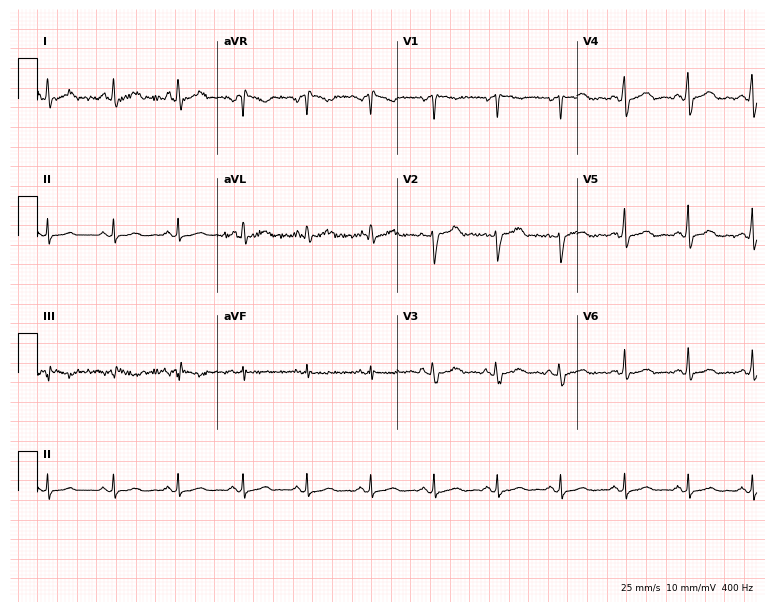
Electrocardiogram (7.3-second recording at 400 Hz), a 51-year-old male. Of the six screened findings (first-degree AV block, right bundle branch block, left bundle branch block, sinus bradycardia, atrial fibrillation, sinus tachycardia), none is recorded. Findings outside these six are not listed.